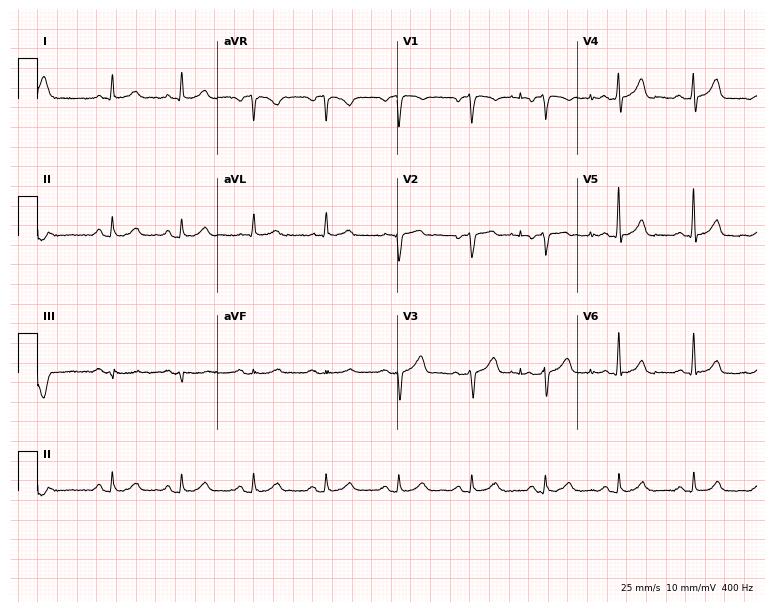
12-lead ECG (7.3-second recording at 400 Hz) from a 64-year-old female. Labelled as a normal ECG.